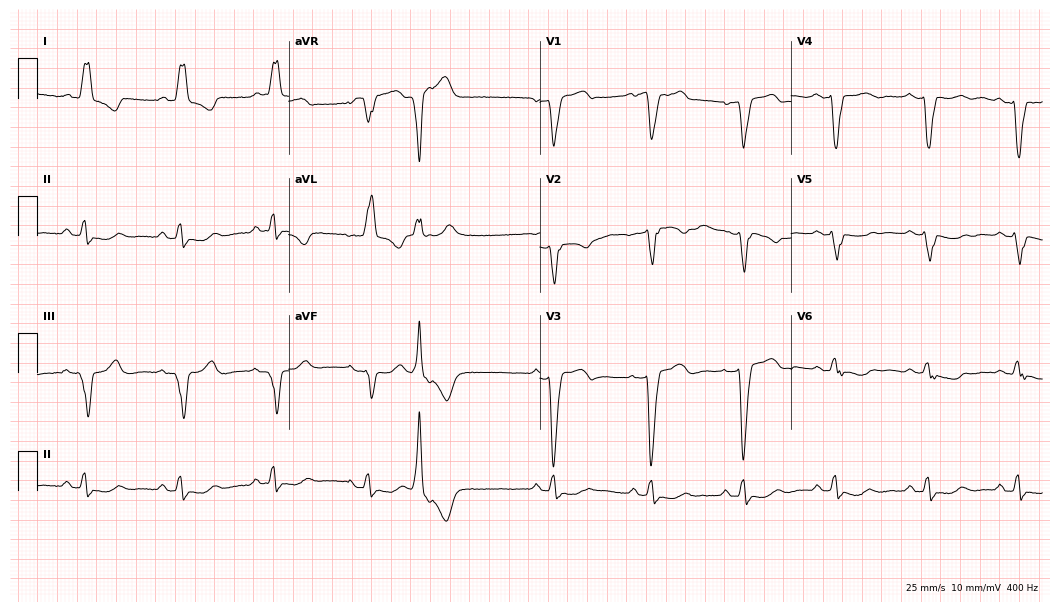
ECG — a woman, 67 years old. Findings include left bundle branch block (LBBB).